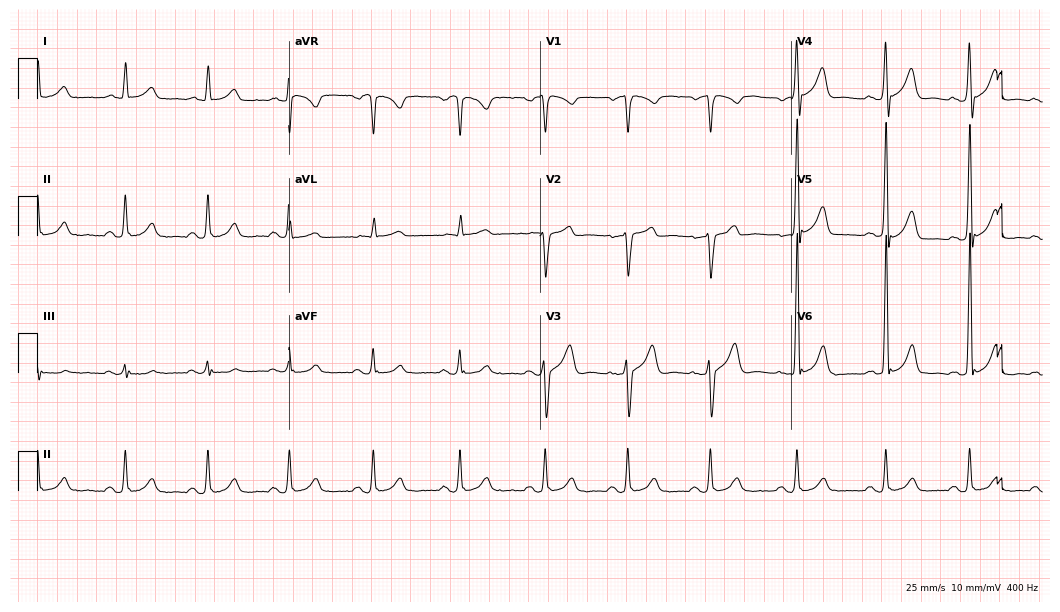
12-lead ECG from a 58-year-old male patient. No first-degree AV block, right bundle branch block, left bundle branch block, sinus bradycardia, atrial fibrillation or sinus tachycardia recorded for this tracing. Other findings, if any, are not listed.